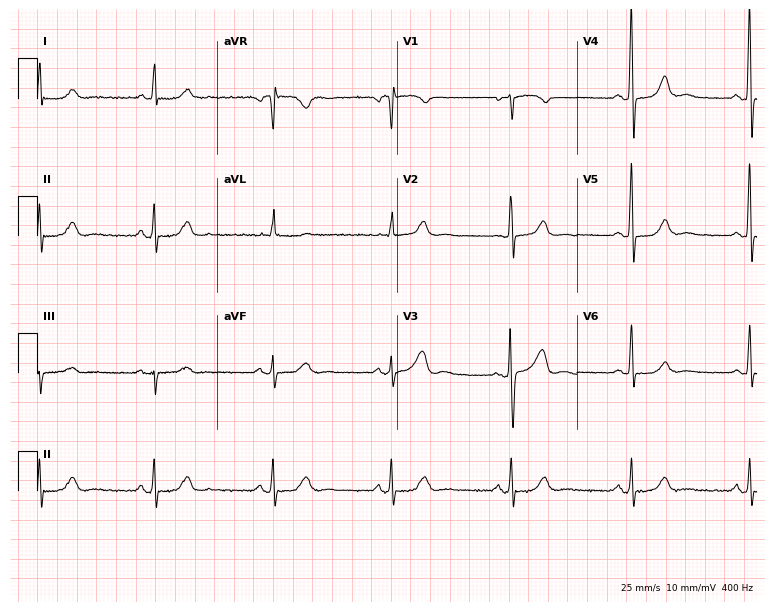
12-lead ECG from a 53-year-old female patient. Shows sinus bradycardia (a sinus rate of 50 beats per minute or less).